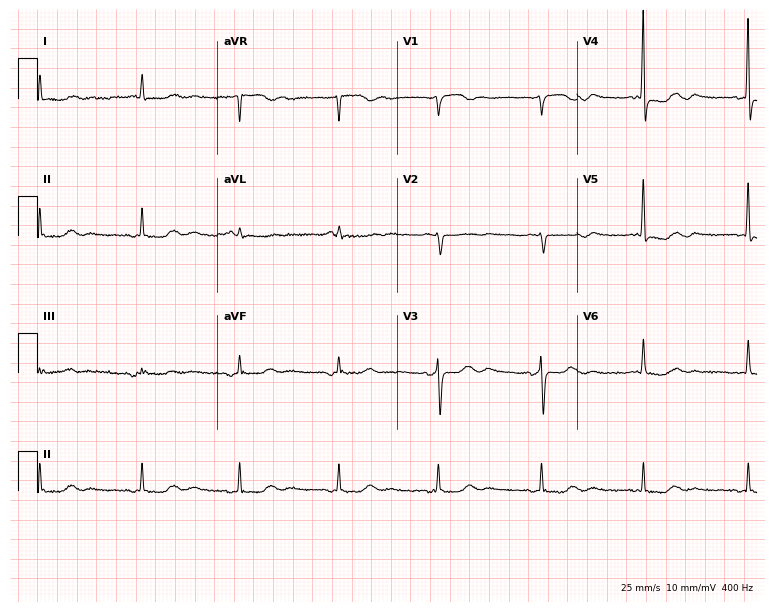
Resting 12-lead electrocardiogram. Patient: a woman, 84 years old. None of these six findings is recorded: first-degree AV block, right bundle branch block, left bundle branch block, sinus bradycardia, atrial fibrillation, sinus tachycardia.